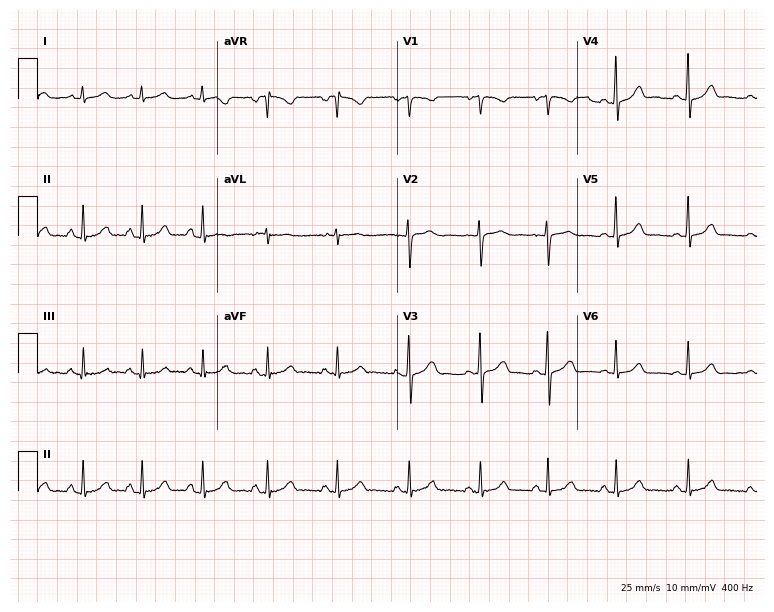
Standard 12-lead ECG recorded from a 26-year-old woman. None of these six findings is recorded: first-degree AV block, right bundle branch block (RBBB), left bundle branch block (LBBB), sinus bradycardia, atrial fibrillation (AF), sinus tachycardia. Findings outside these six are not listed.